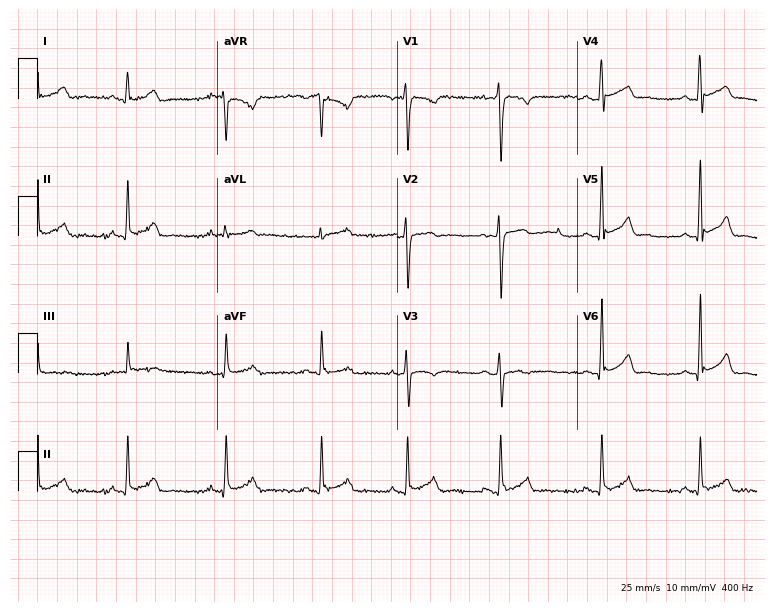
12-lead ECG from a 26-year-old man. Screened for six findings — first-degree AV block, right bundle branch block, left bundle branch block, sinus bradycardia, atrial fibrillation, sinus tachycardia — none is recorded. Other findings, if any, are not listed.